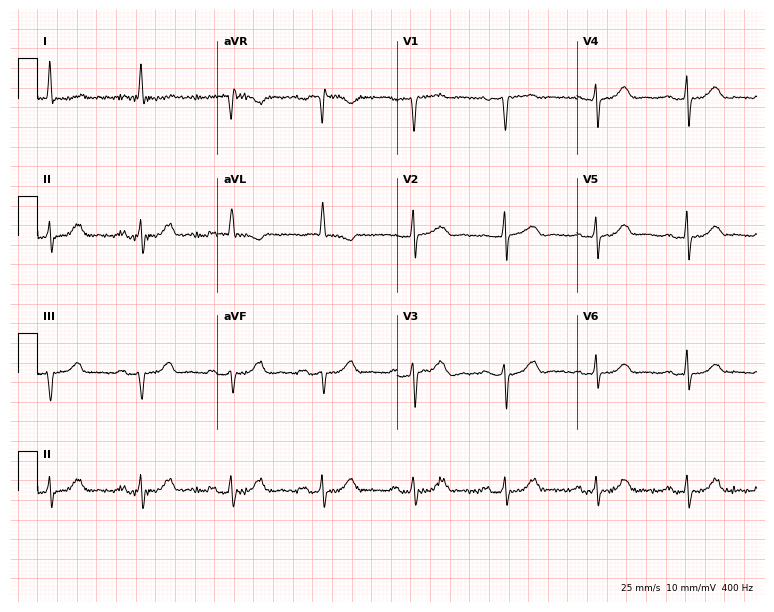
12-lead ECG from a female patient, 78 years old (7.3-second recording at 400 Hz). No first-degree AV block, right bundle branch block (RBBB), left bundle branch block (LBBB), sinus bradycardia, atrial fibrillation (AF) or sinus tachycardia recorded for this tracing. Findings outside these six are not listed.